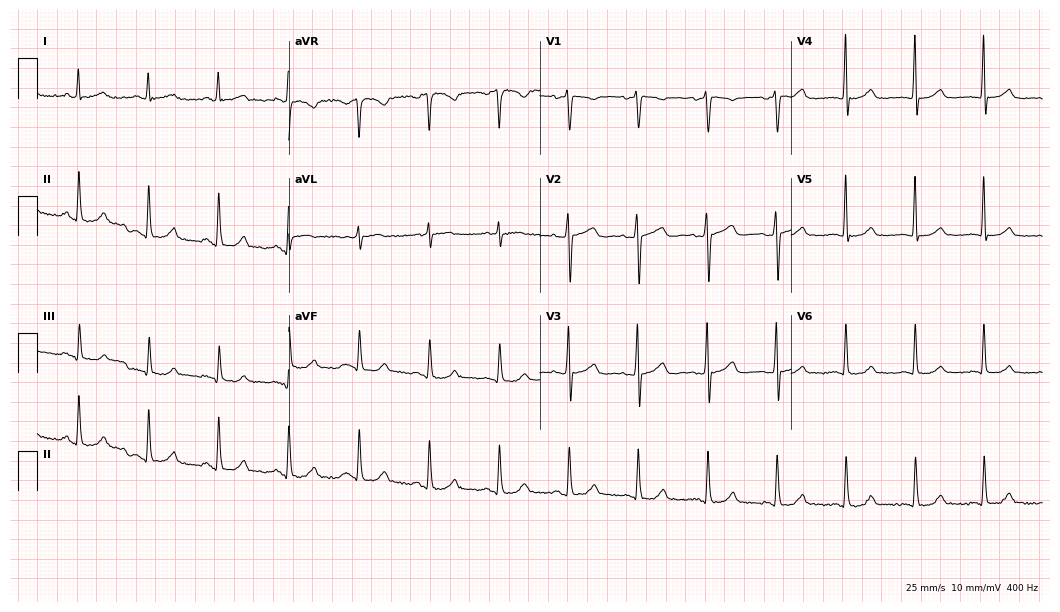
ECG — a woman, 74 years old. Labelled as a normal ECG.